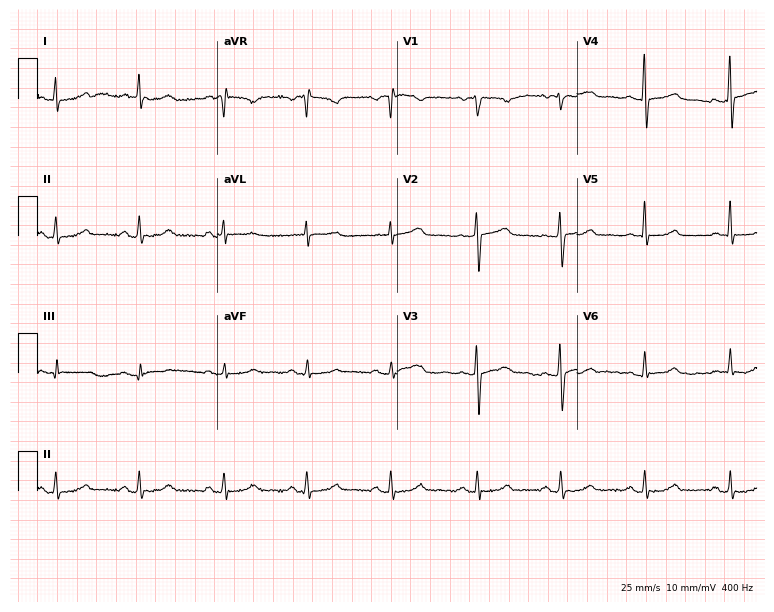
12-lead ECG from a woman, 64 years old. Recorded interpretation: within normal limits.